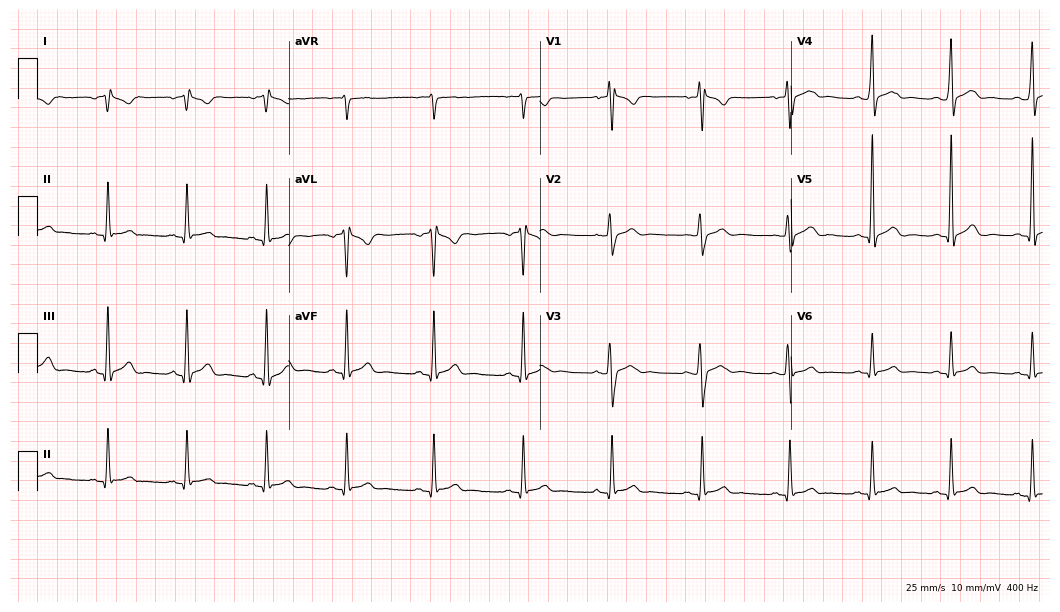
ECG (10.2-second recording at 400 Hz) — a man, 21 years old. Labelled as a normal ECG.